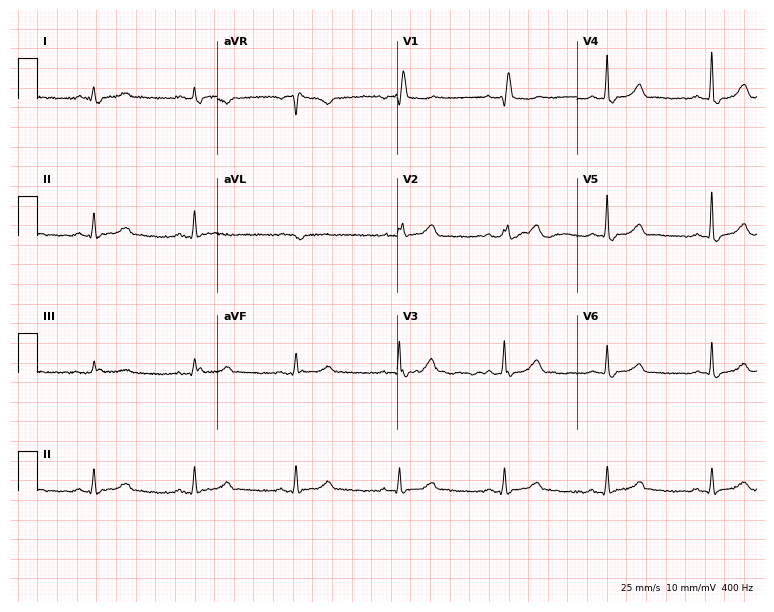
12-lead ECG from a man, 80 years old. Shows right bundle branch block (RBBB).